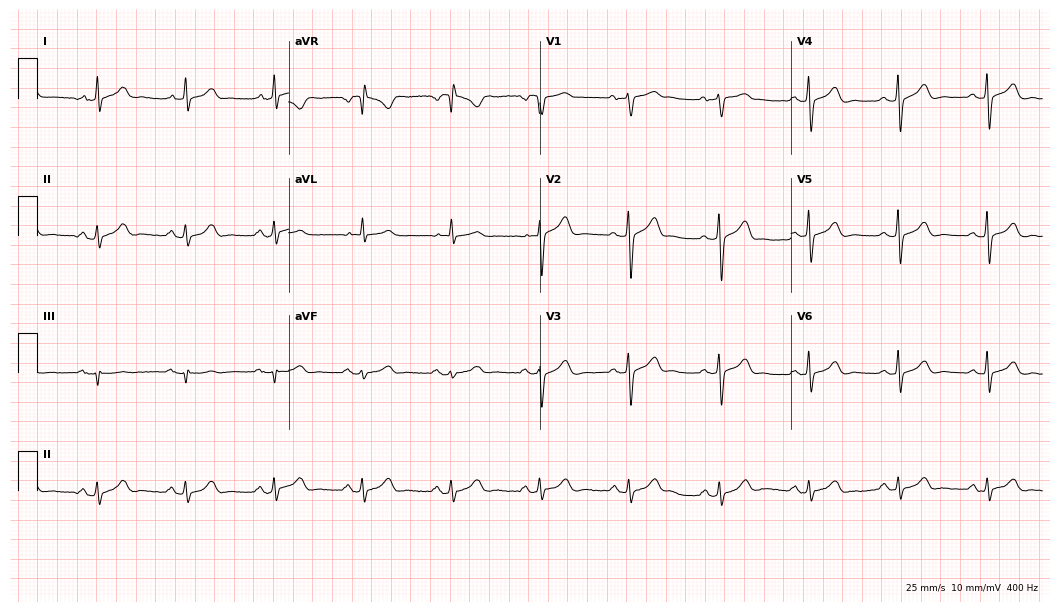
Resting 12-lead electrocardiogram (10.2-second recording at 400 Hz). Patient: a 70-year-old male. None of these six findings is recorded: first-degree AV block, right bundle branch block, left bundle branch block, sinus bradycardia, atrial fibrillation, sinus tachycardia.